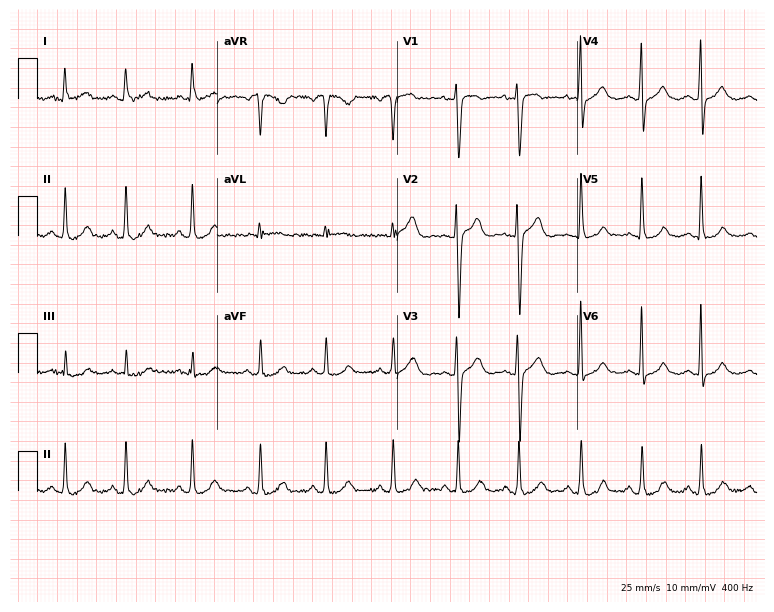
Electrocardiogram (7.3-second recording at 400 Hz), a 36-year-old woman. Of the six screened findings (first-degree AV block, right bundle branch block, left bundle branch block, sinus bradycardia, atrial fibrillation, sinus tachycardia), none is recorded.